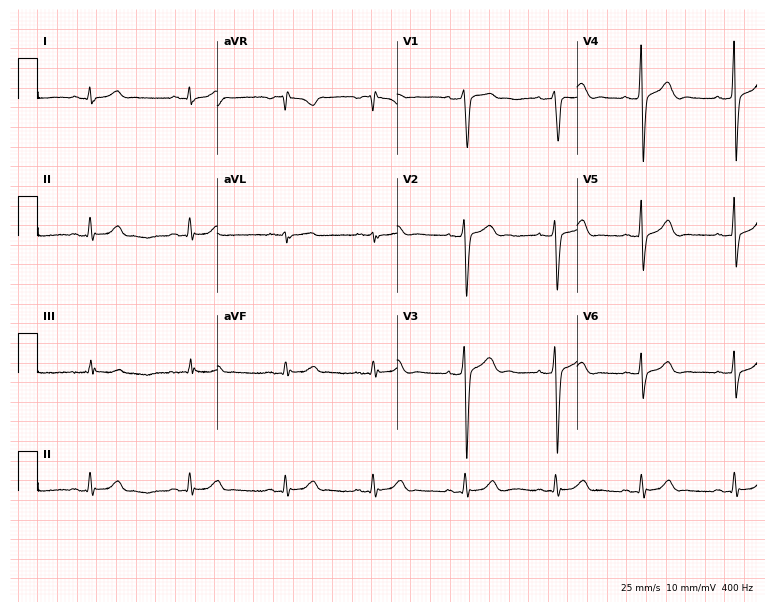
Resting 12-lead electrocardiogram. Patient: a male, 36 years old. None of these six findings is recorded: first-degree AV block, right bundle branch block, left bundle branch block, sinus bradycardia, atrial fibrillation, sinus tachycardia.